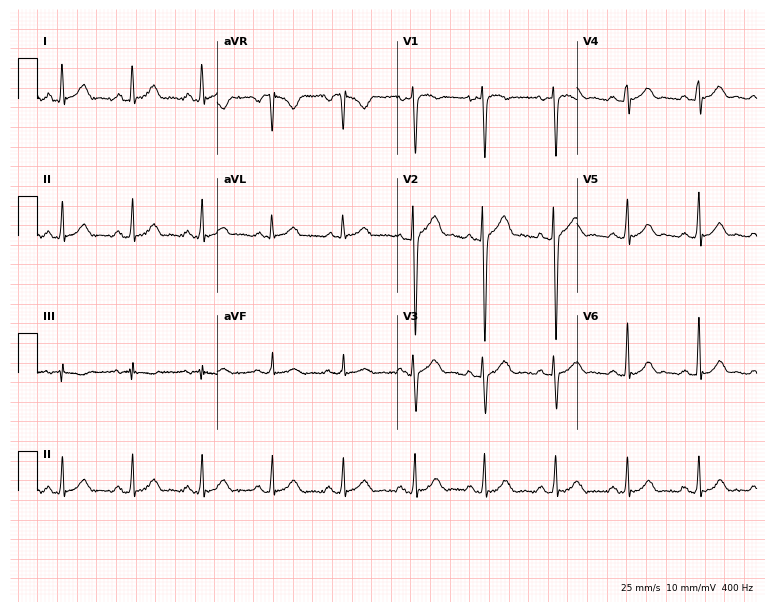
12-lead ECG (7.3-second recording at 400 Hz) from a male, 28 years old. Labelled as a normal ECG.